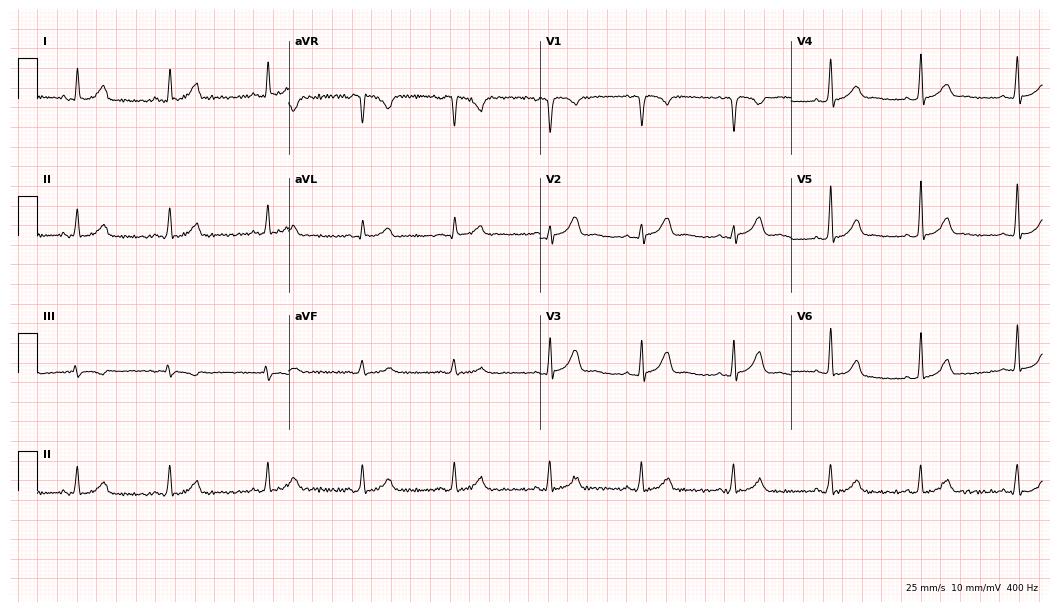
Standard 12-lead ECG recorded from a female, 36 years old (10.2-second recording at 400 Hz). None of these six findings is recorded: first-degree AV block, right bundle branch block (RBBB), left bundle branch block (LBBB), sinus bradycardia, atrial fibrillation (AF), sinus tachycardia.